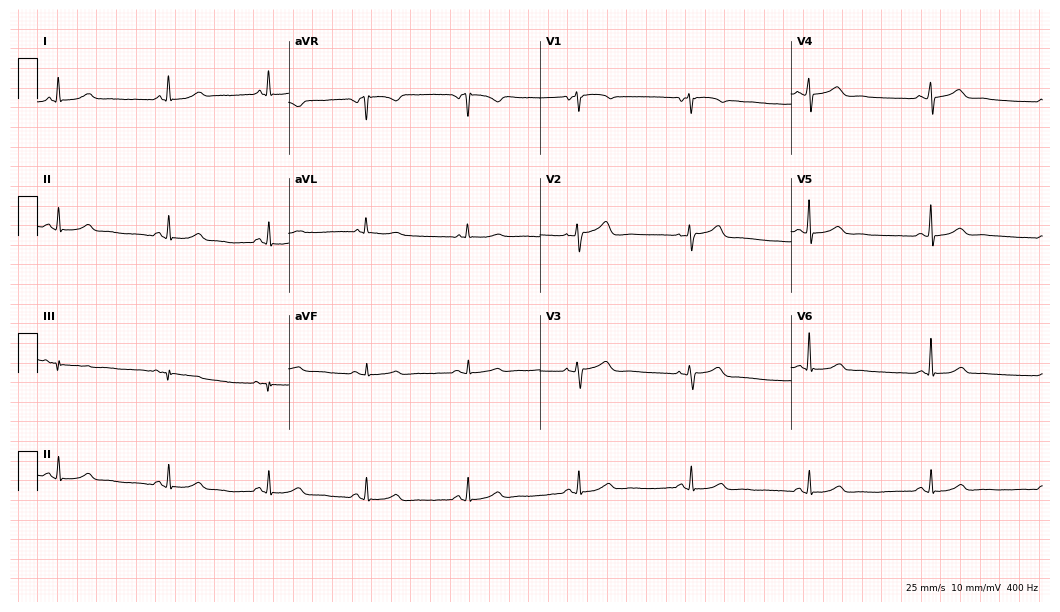
12-lead ECG (10.2-second recording at 400 Hz) from a woman, 54 years old. Labelled as a normal ECG.